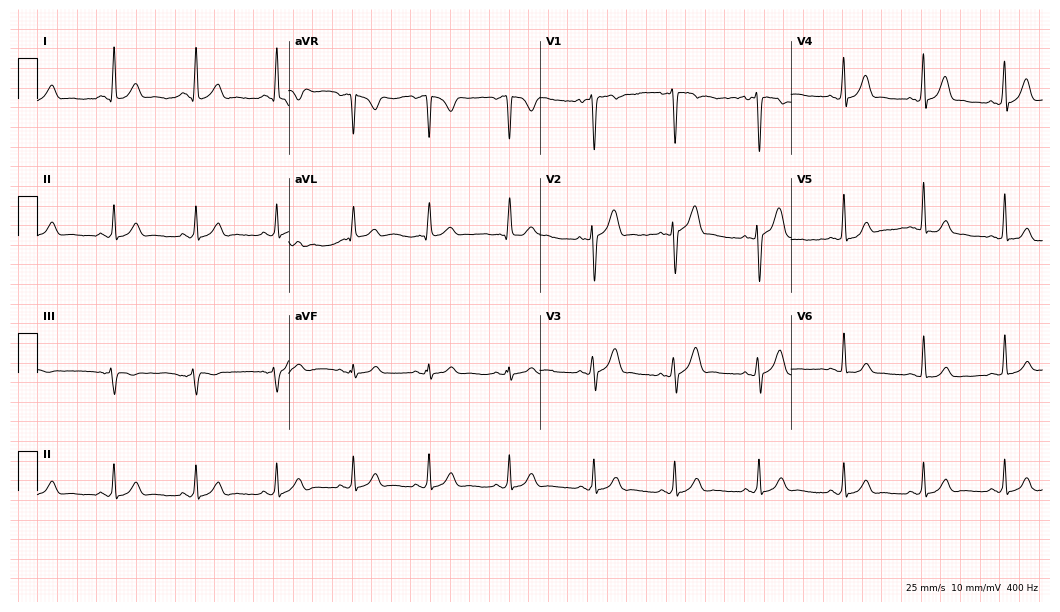
ECG — a 21-year-old male. Labelled as a normal ECG.